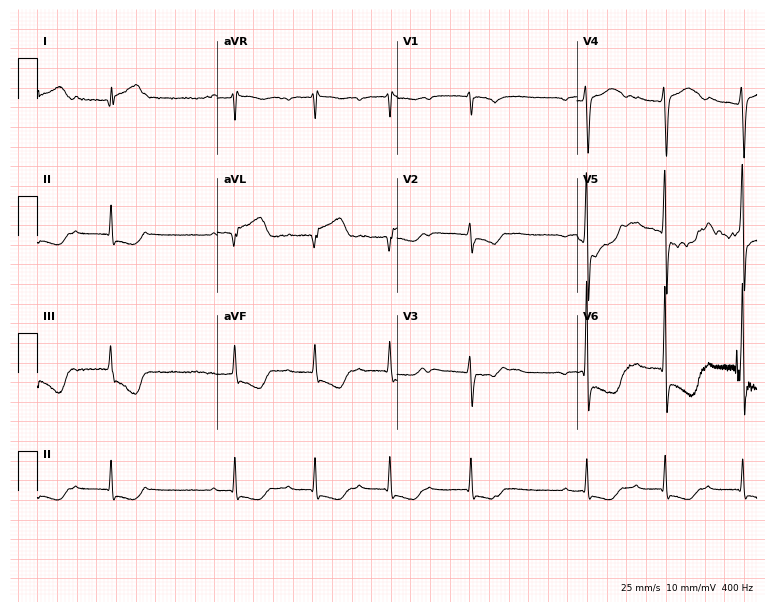
Electrocardiogram (7.3-second recording at 400 Hz), an 84-year-old male. Overall reading on record: normal ECG.